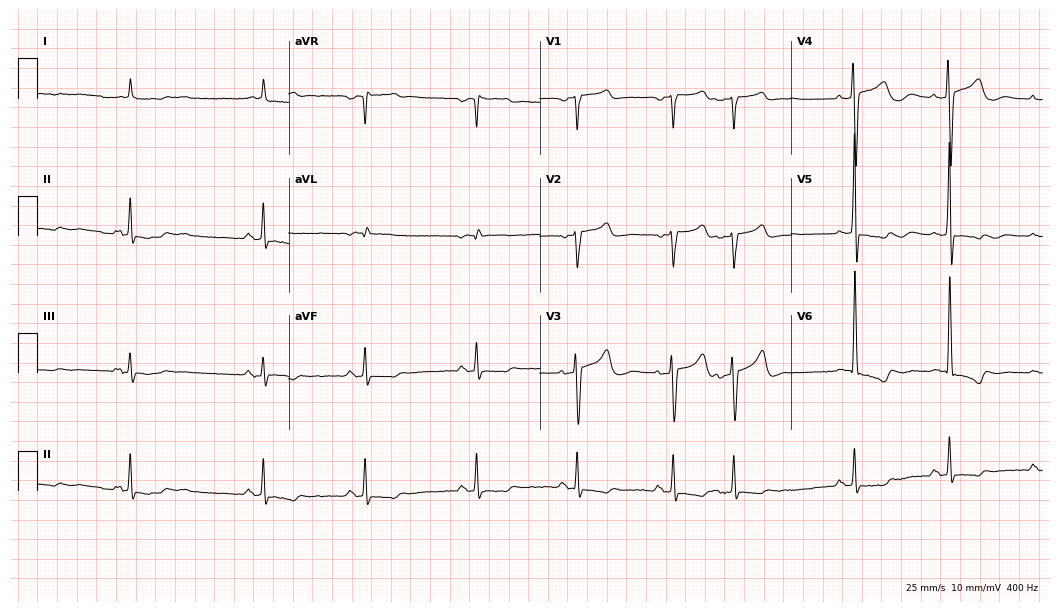
12-lead ECG from a 73-year-old male. No first-degree AV block, right bundle branch block, left bundle branch block, sinus bradycardia, atrial fibrillation or sinus tachycardia recorded for this tracing.